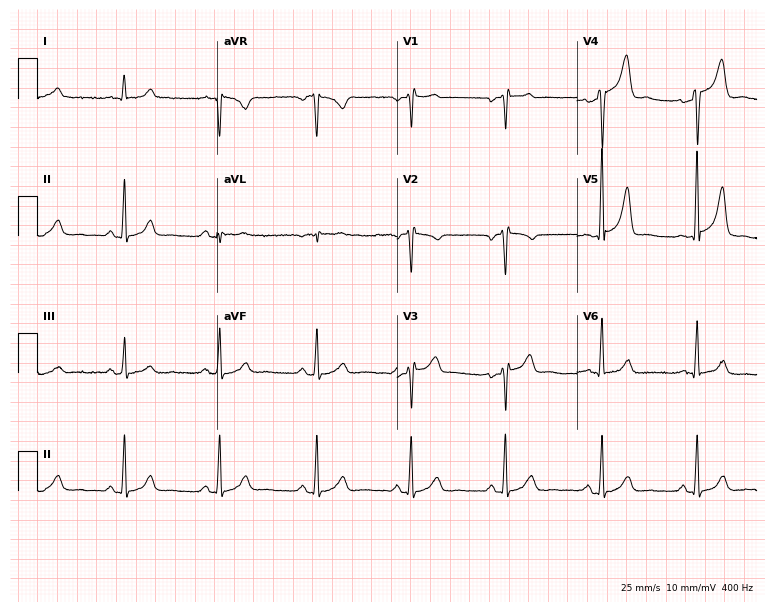
Standard 12-lead ECG recorded from a 39-year-old male. None of these six findings is recorded: first-degree AV block, right bundle branch block (RBBB), left bundle branch block (LBBB), sinus bradycardia, atrial fibrillation (AF), sinus tachycardia. Findings outside these six are not listed.